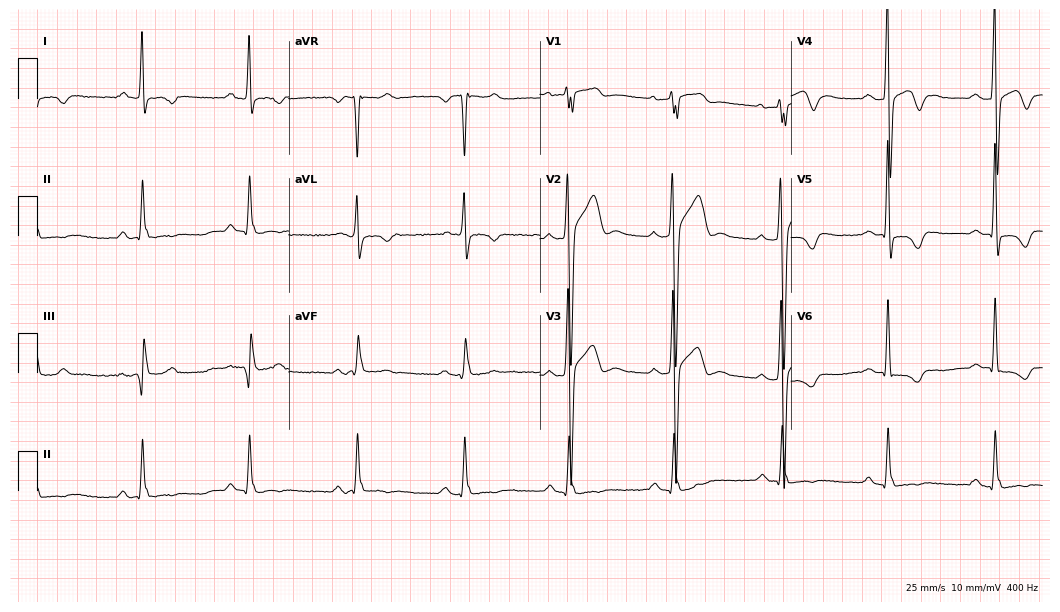
12-lead ECG (10.2-second recording at 400 Hz) from a 36-year-old male patient. Screened for six findings — first-degree AV block, right bundle branch block (RBBB), left bundle branch block (LBBB), sinus bradycardia, atrial fibrillation (AF), sinus tachycardia — none is recorded.